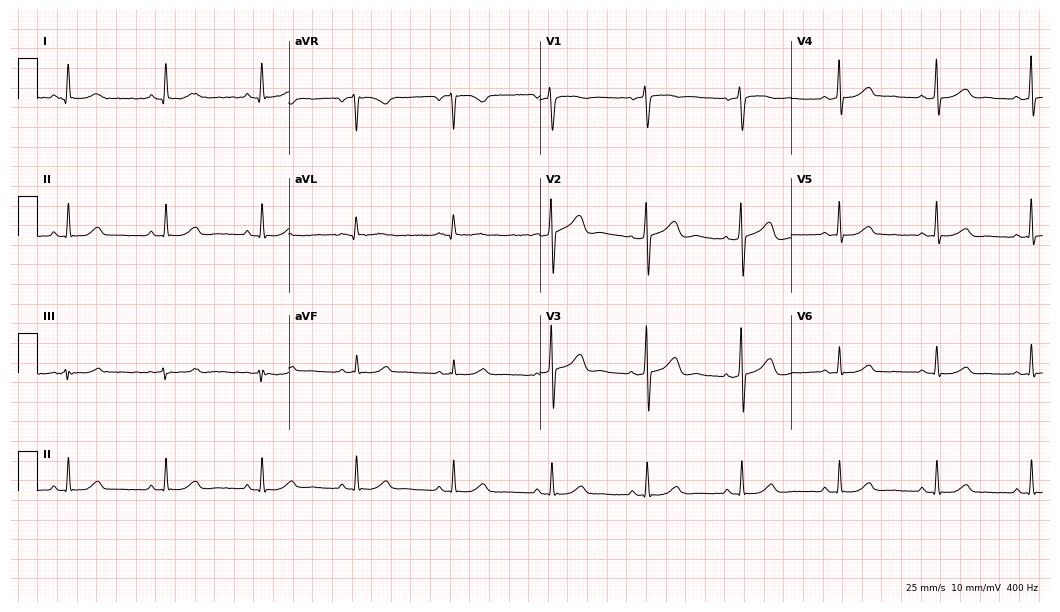
12-lead ECG from a 54-year-old female patient (10.2-second recording at 400 Hz). Recorded interpretation: within normal limits.